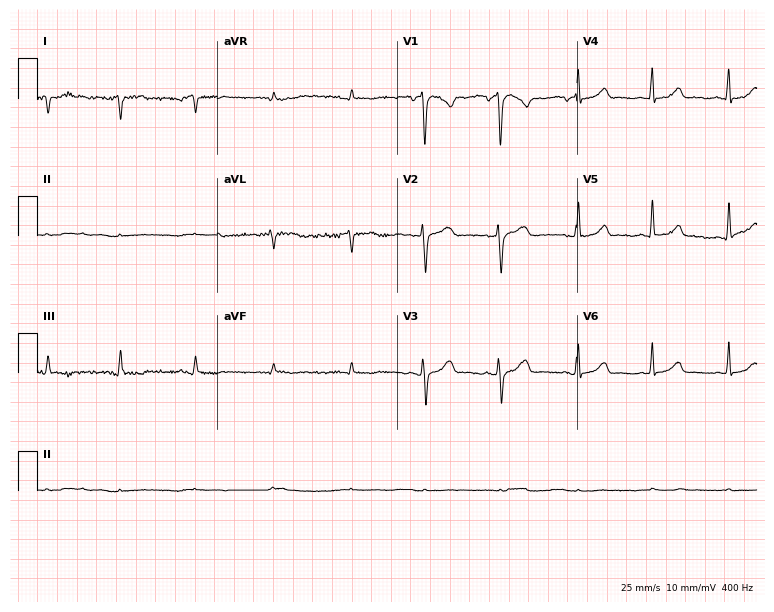
12-lead ECG from a 38-year-old female. Labelled as a normal ECG.